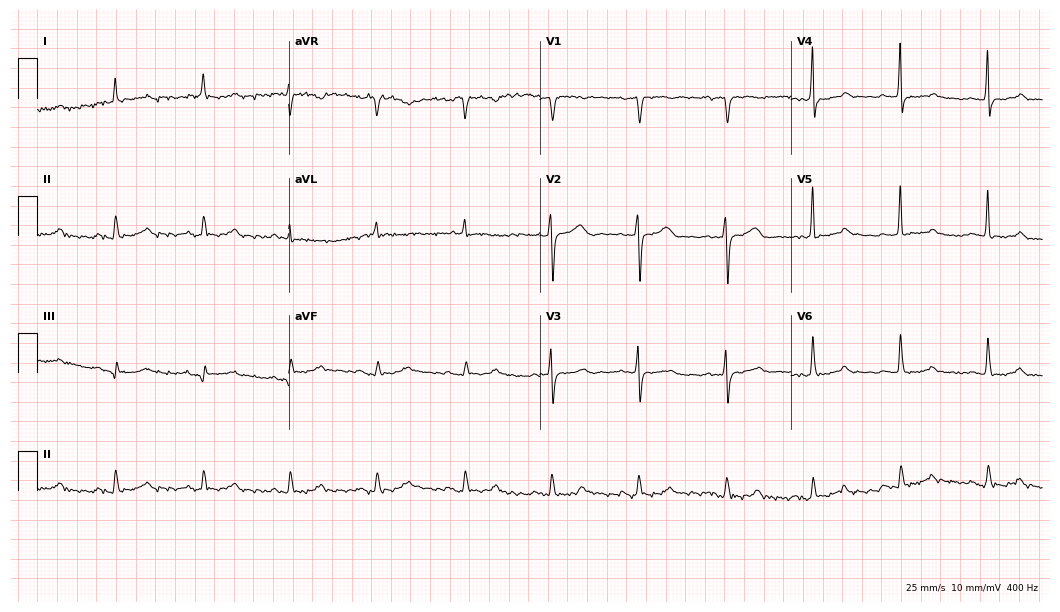
Standard 12-lead ECG recorded from a female, 83 years old. None of these six findings is recorded: first-degree AV block, right bundle branch block, left bundle branch block, sinus bradycardia, atrial fibrillation, sinus tachycardia. Findings outside these six are not listed.